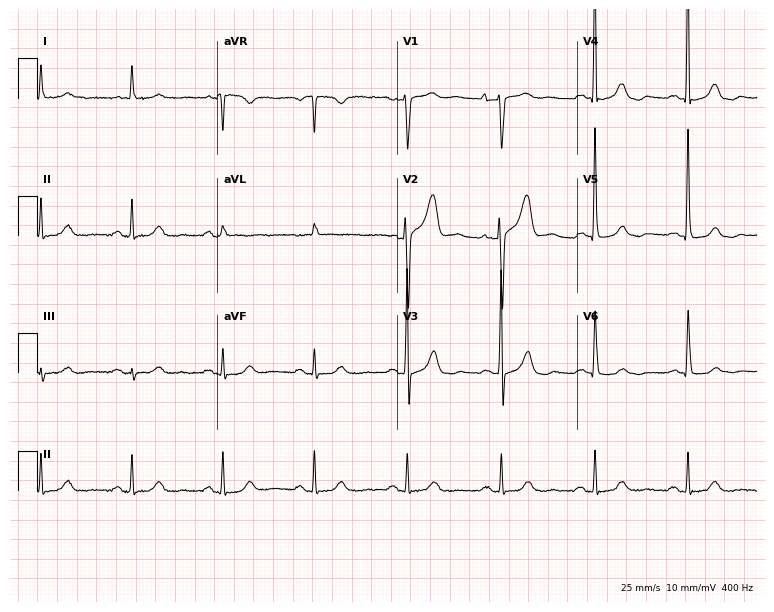
12-lead ECG from an 81-year-old female patient. No first-degree AV block, right bundle branch block, left bundle branch block, sinus bradycardia, atrial fibrillation or sinus tachycardia recorded for this tracing. Findings outside these six are not listed.